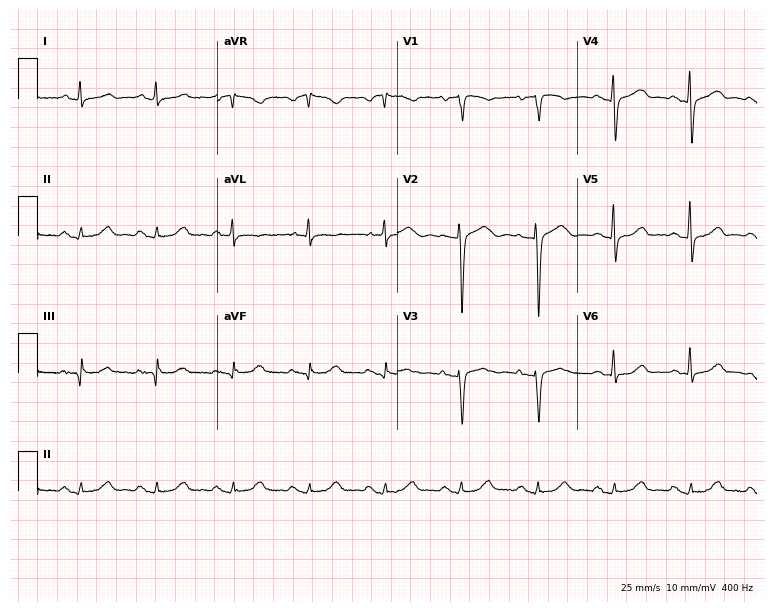
ECG (7.3-second recording at 400 Hz) — a woman, 83 years old. Screened for six findings — first-degree AV block, right bundle branch block, left bundle branch block, sinus bradycardia, atrial fibrillation, sinus tachycardia — none is recorded.